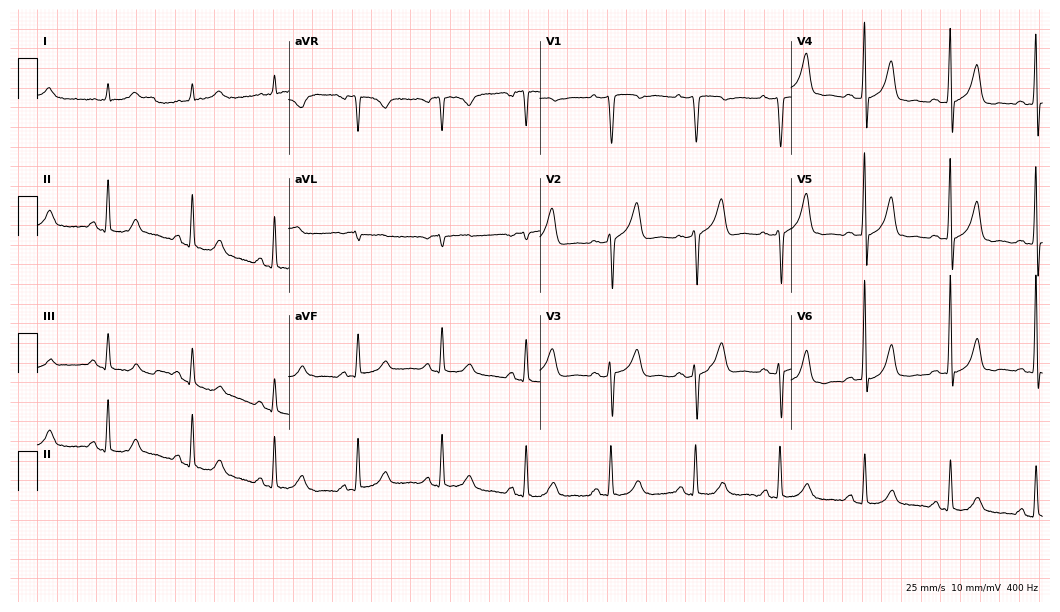
ECG — a 67-year-old man. Labelled as a normal ECG.